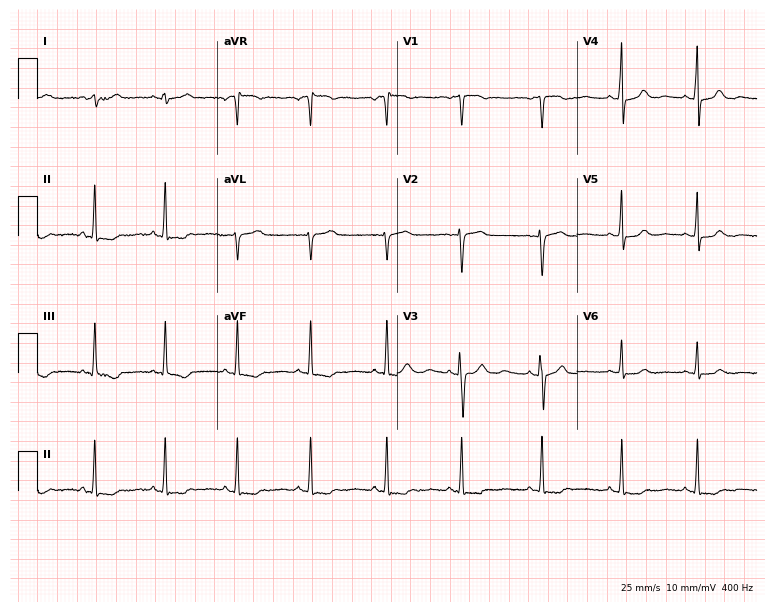
12-lead ECG (7.3-second recording at 400 Hz) from a 19-year-old woman. Screened for six findings — first-degree AV block, right bundle branch block, left bundle branch block, sinus bradycardia, atrial fibrillation, sinus tachycardia — none is recorded.